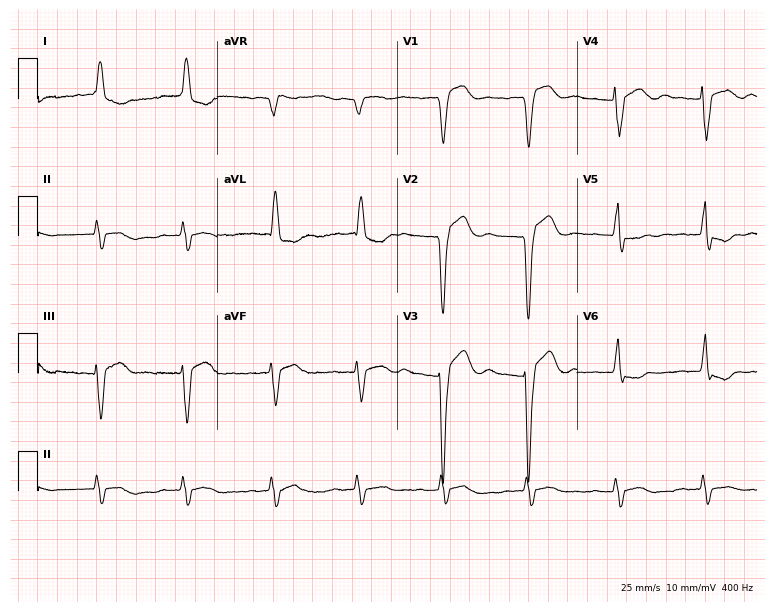
Standard 12-lead ECG recorded from a female patient, 73 years old. The tracing shows left bundle branch block.